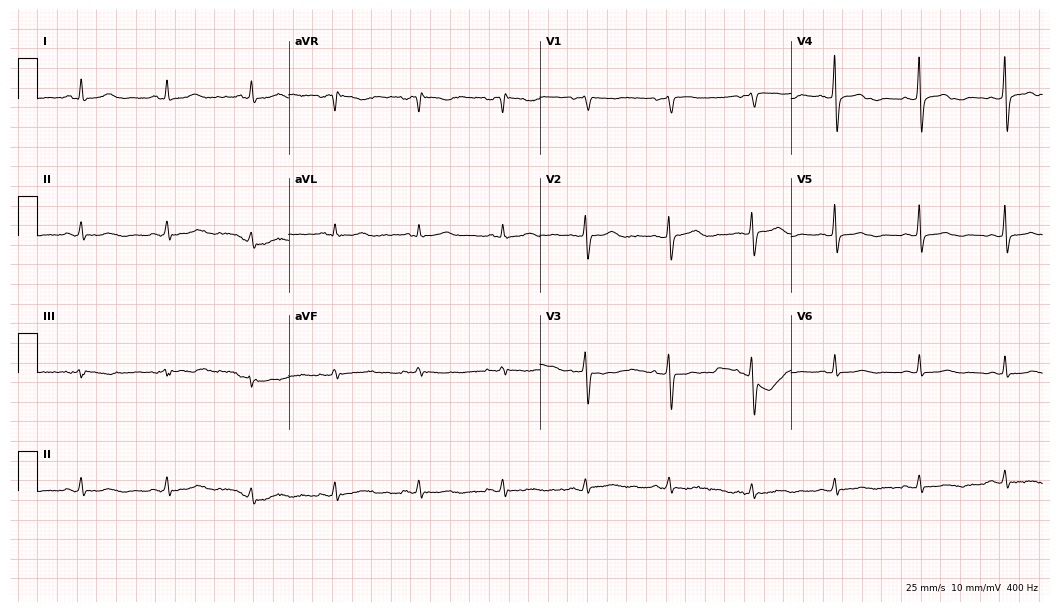
12-lead ECG from a female patient, 61 years old. Labelled as a normal ECG.